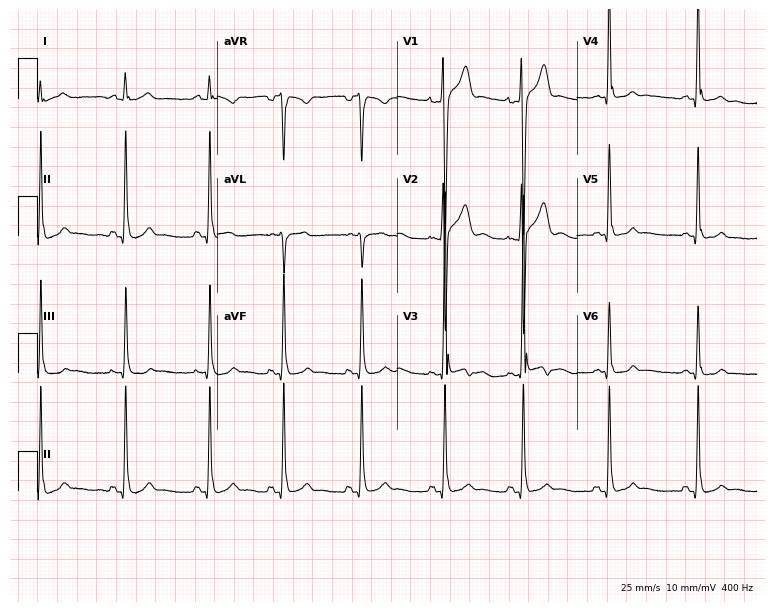
ECG — a man, 18 years old. Labelled as a normal ECG.